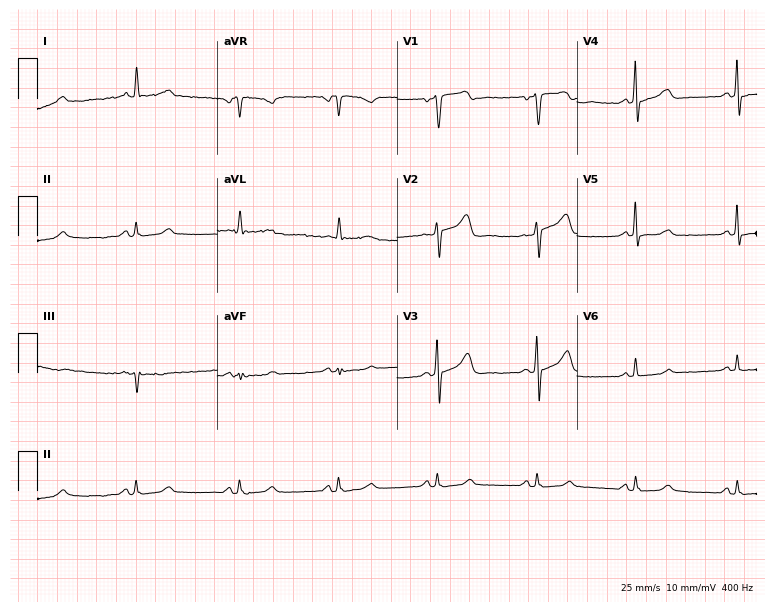
Standard 12-lead ECG recorded from an 80-year-old male (7.3-second recording at 400 Hz). None of these six findings is recorded: first-degree AV block, right bundle branch block (RBBB), left bundle branch block (LBBB), sinus bradycardia, atrial fibrillation (AF), sinus tachycardia. Other findings, if any, are not listed.